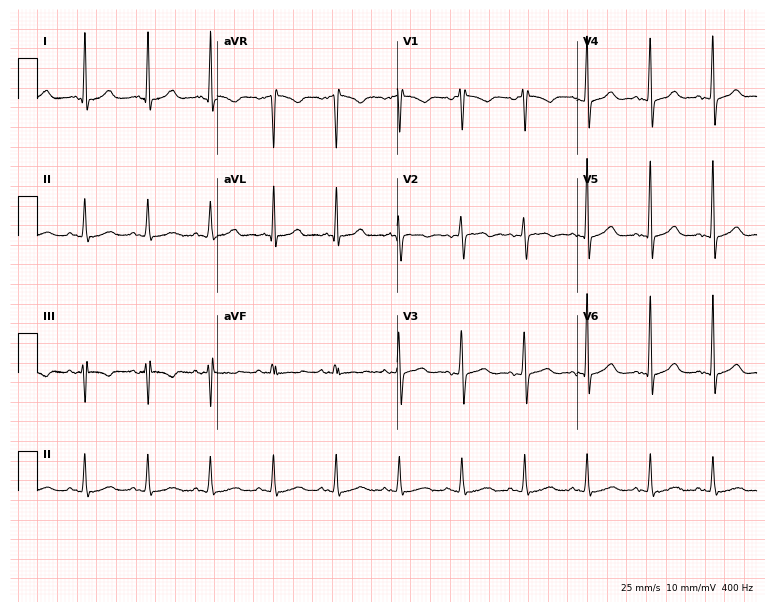
Electrocardiogram, a 66-year-old female. Overall reading on record: normal ECG.